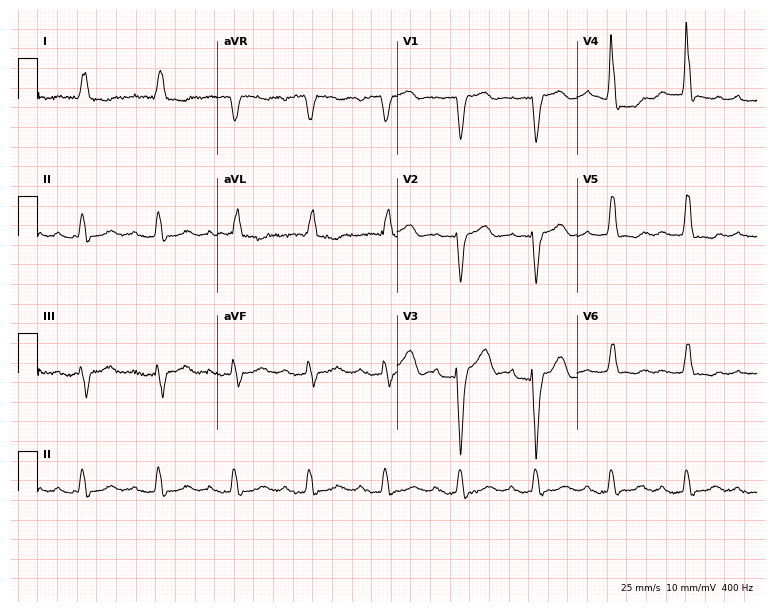
Resting 12-lead electrocardiogram (7.3-second recording at 400 Hz). Patient: a woman, 81 years old. The tracing shows first-degree AV block, left bundle branch block.